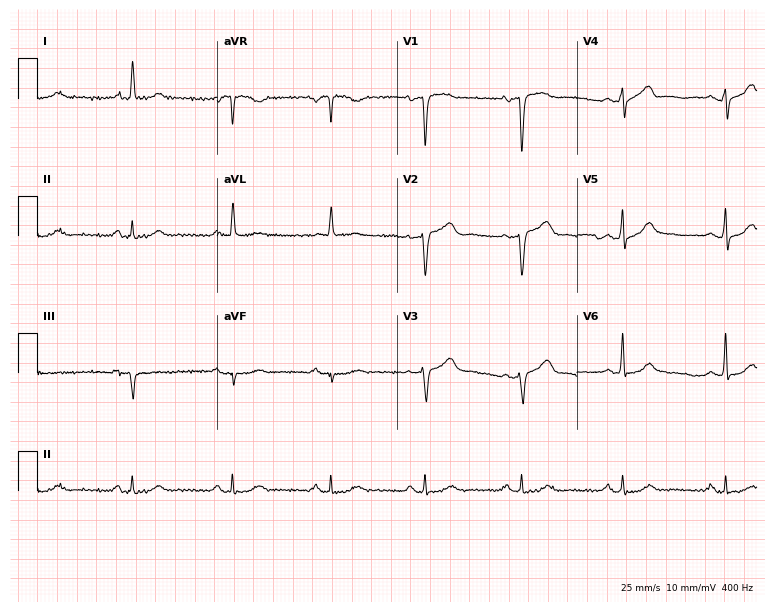
Electrocardiogram (7.3-second recording at 400 Hz), a male patient, 65 years old. Overall reading on record: normal ECG.